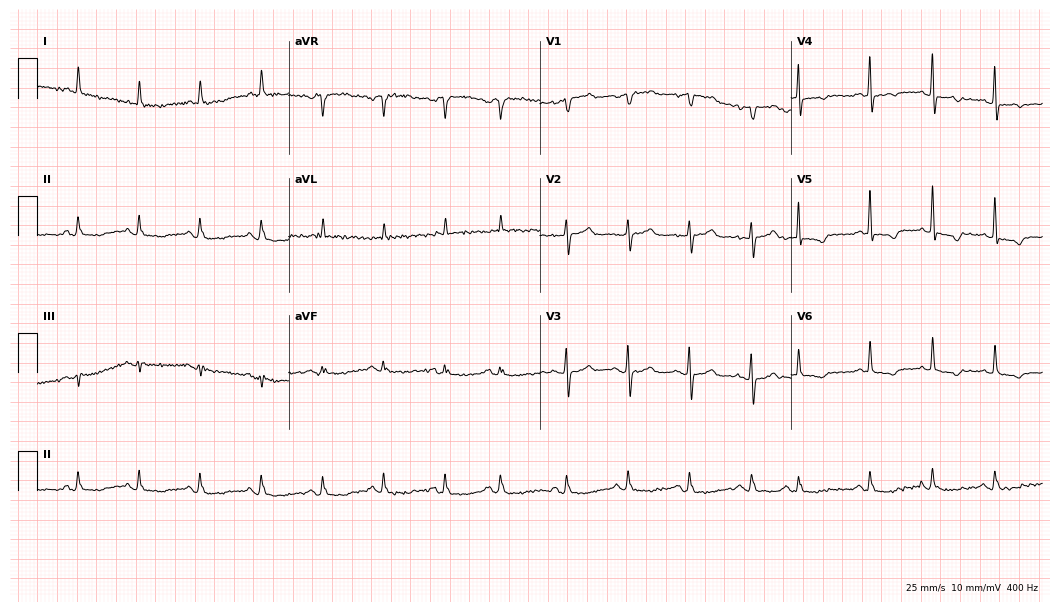
ECG — a 78-year-old female patient. Screened for six findings — first-degree AV block, right bundle branch block, left bundle branch block, sinus bradycardia, atrial fibrillation, sinus tachycardia — none is recorded. Other findings, if any, are not listed.